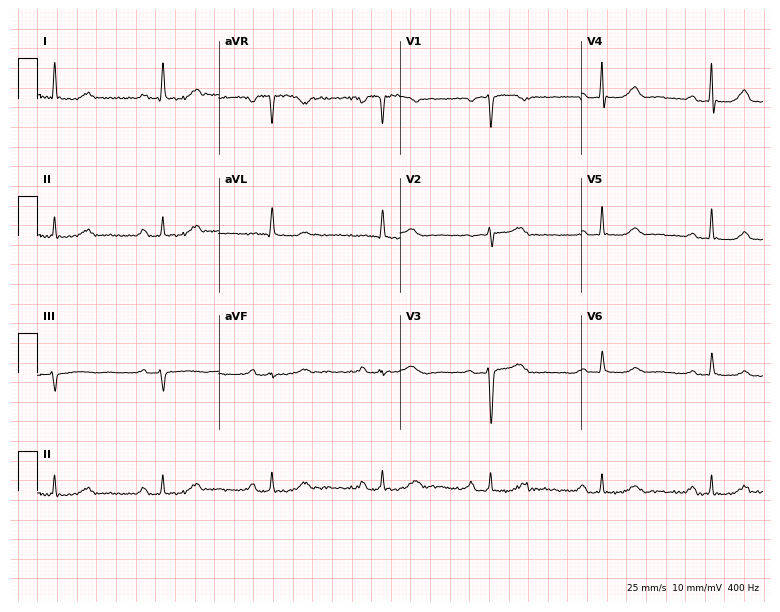
Standard 12-lead ECG recorded from a 73-year-old female (7.4-second recording at 400 Hz). None of these six findings is recorded: first-degree AV block, right bundle branch block, left bundle branch block, sinus bradycardia, atrial fibrillation, sinus tachycardia.